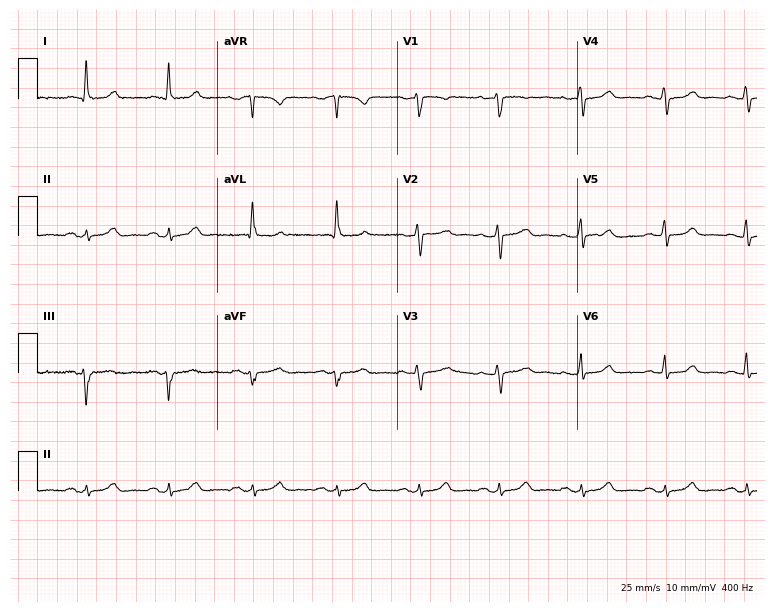
ECG (7.3-second recording at 400 Hz) — a 54-year-old female. Screened for six findings — first-degree AV block, right bundle branch block, left bundle branch block, sinus bradycardia, atrial fibrillation, sinus tachycardia — none is recorded. Other findings, if any, are not listed.